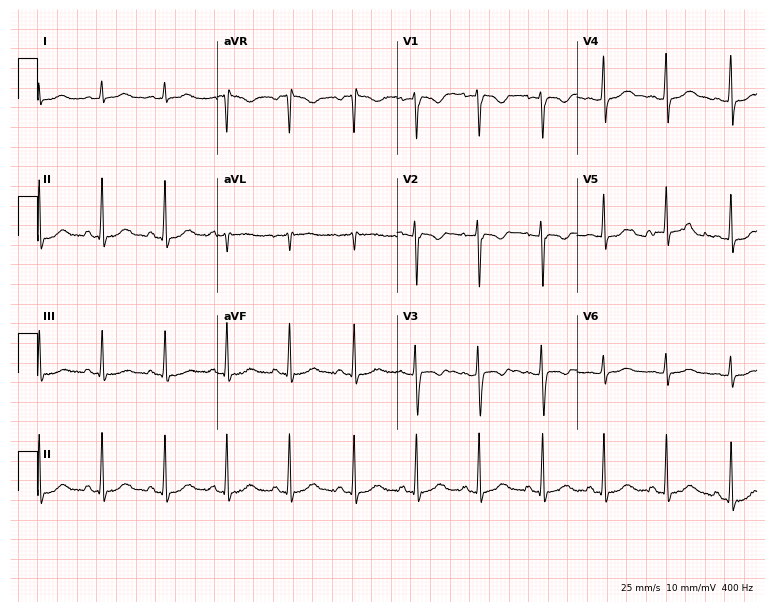
ECG — a female, 18 years old. Labelled as a normal ECG.